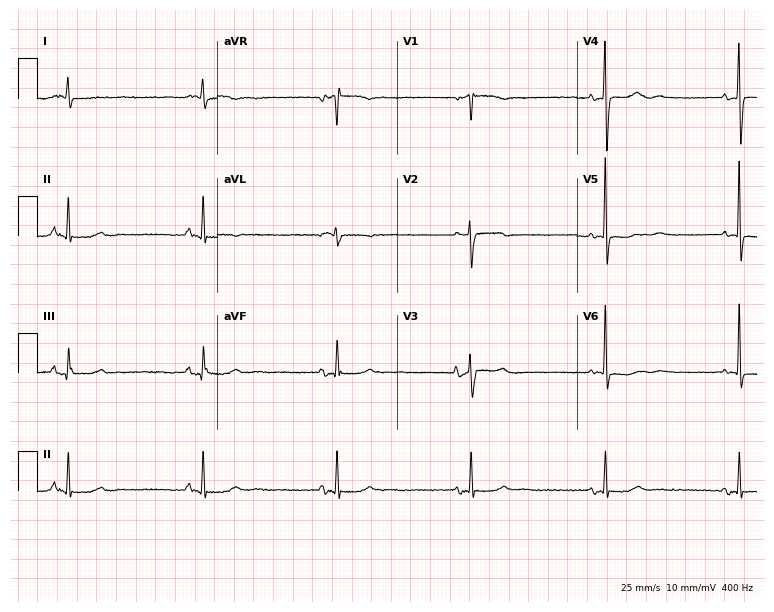
12-lead ECG from a woman, 72 years old (7.3-second recording at 400 Hz). No first-degree AV block, right bundle branch block, left bundle branch block, sinus bradycardia, atrial fibrillation or sinus tachycardia recorded for this tracing. Findings outside these six are not listed.